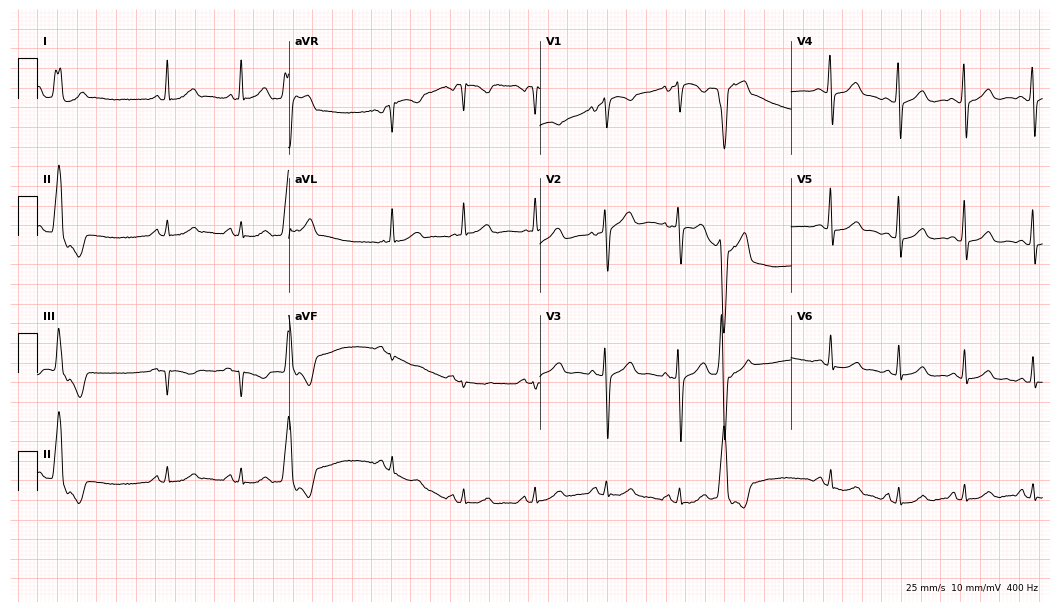
Electrocardiogram, a woman, 56 years old. Of the six screened findings (first-degree AV block, right bundle branch block, left bundle branch block, sinus bradycardia, atrial fibrillation, sinus tachycardia), none is recorded. Other findings, if any, are not listed.